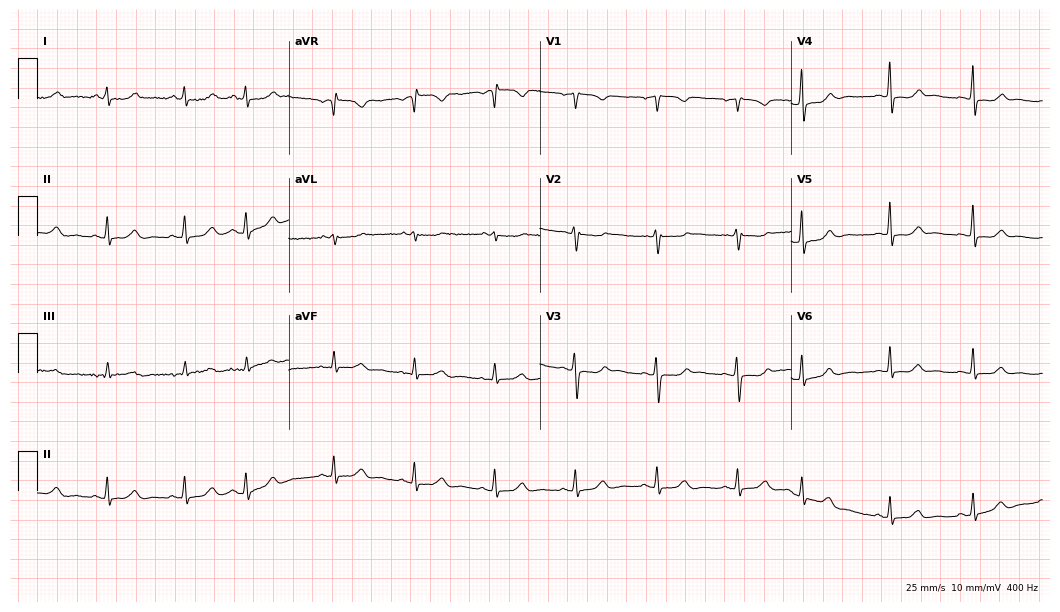
12-lead ECG from a female patient, 56 years old. Screened for six findings — first-degree AV block, right bundle branch block, left bundle branch block, sinus bradycardia, atrial fibrillation, sinus tachycardia — none is recorded.